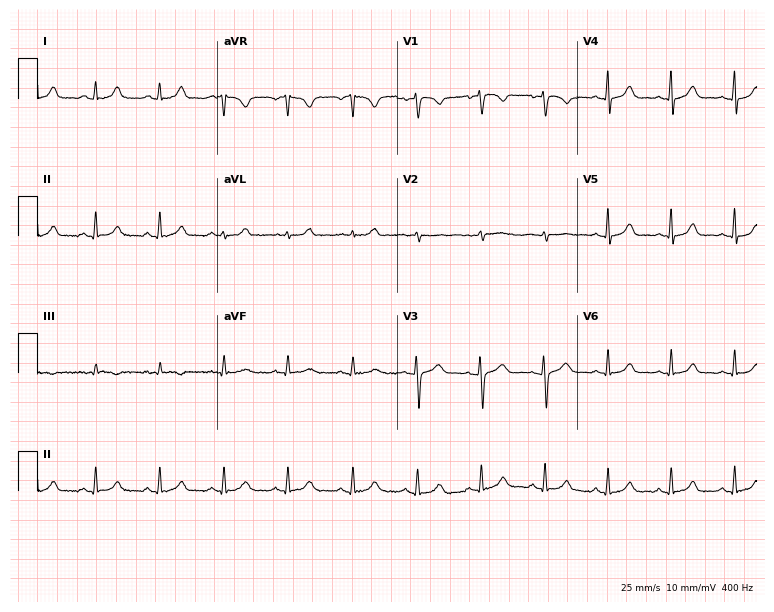
Electrocardiogram, a 21-year-old woman. Overall reading on record: normal ECG.